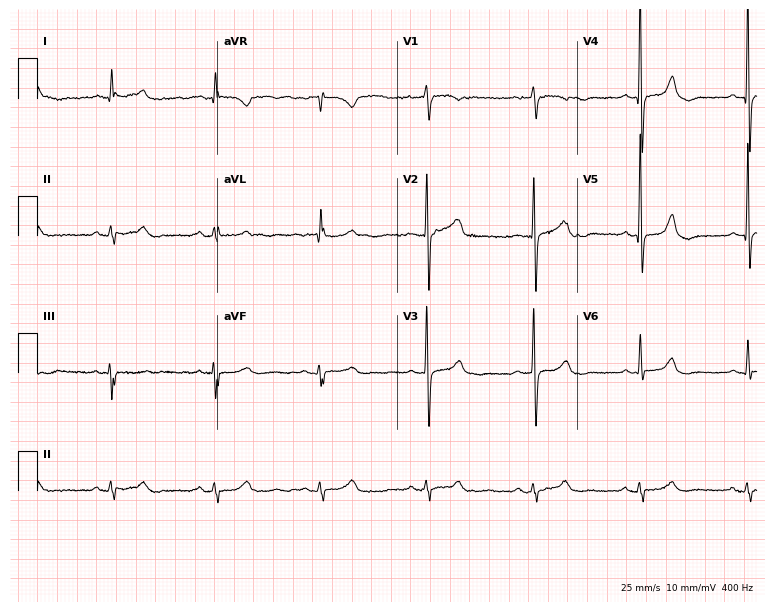
Electrocardiogram (7.3-second recording at 400 Hz), a male, 73 years old. Of the six screened findings (first-degree AV block, right bundle branch block, left bundle branch block, sinus bradycardia, atrial fibrillation, sinus tachycardia), none is recorded.